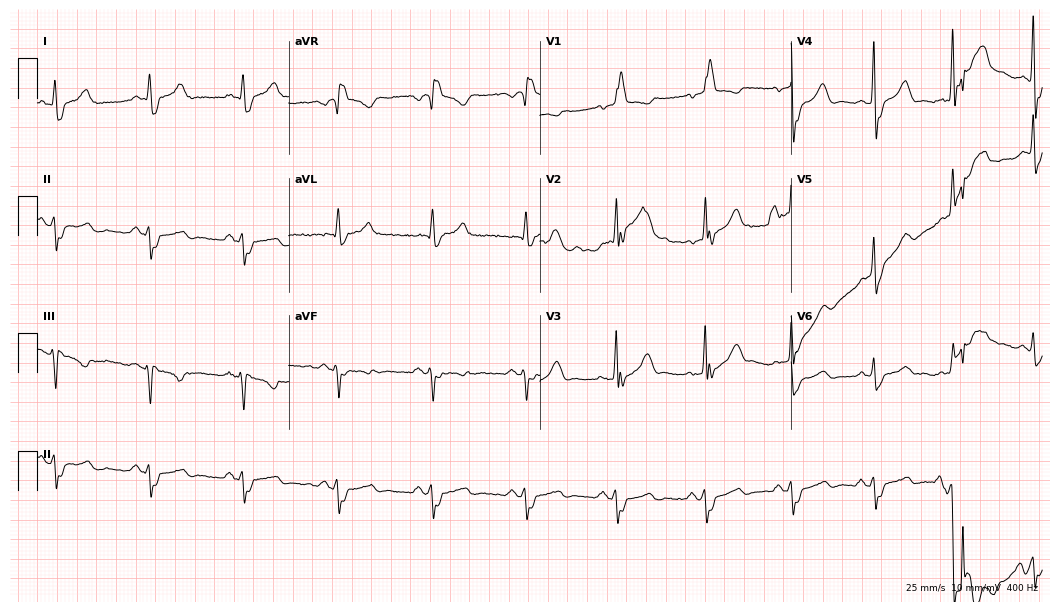
ECG (10.2-second recording at 400 Hz) — a man, 62 years old. Findings include right bundle branch block.